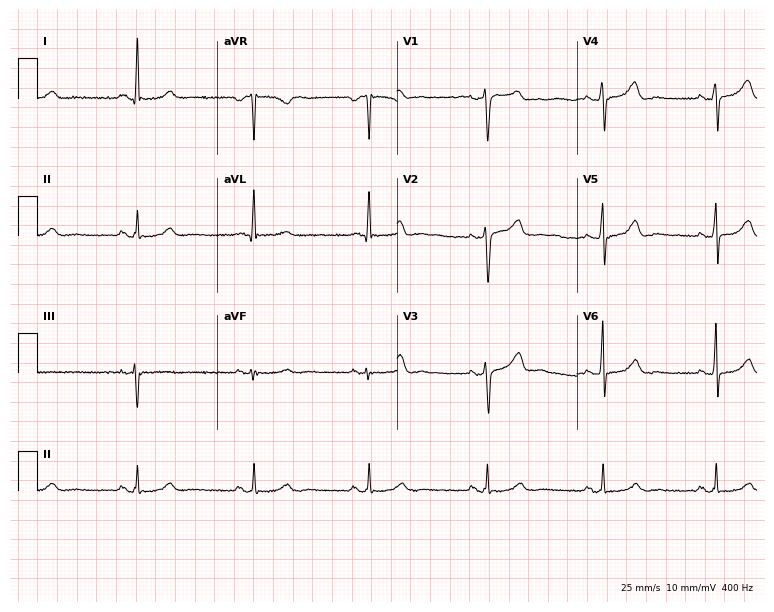
Standard 12-lead ECG recorded from a 53-year-old woman. Read as a normal ECG.